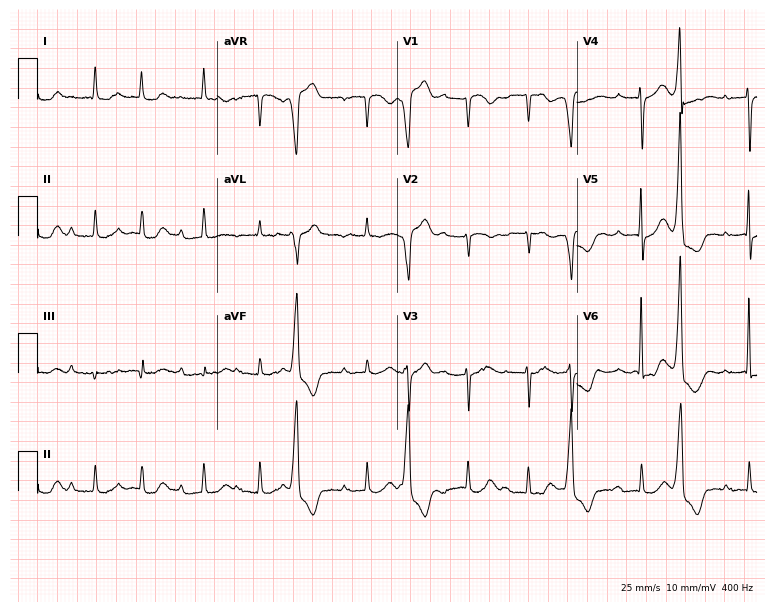
12-lead ECG from an 83-year-old female patient. Shows atrial fibrillation.